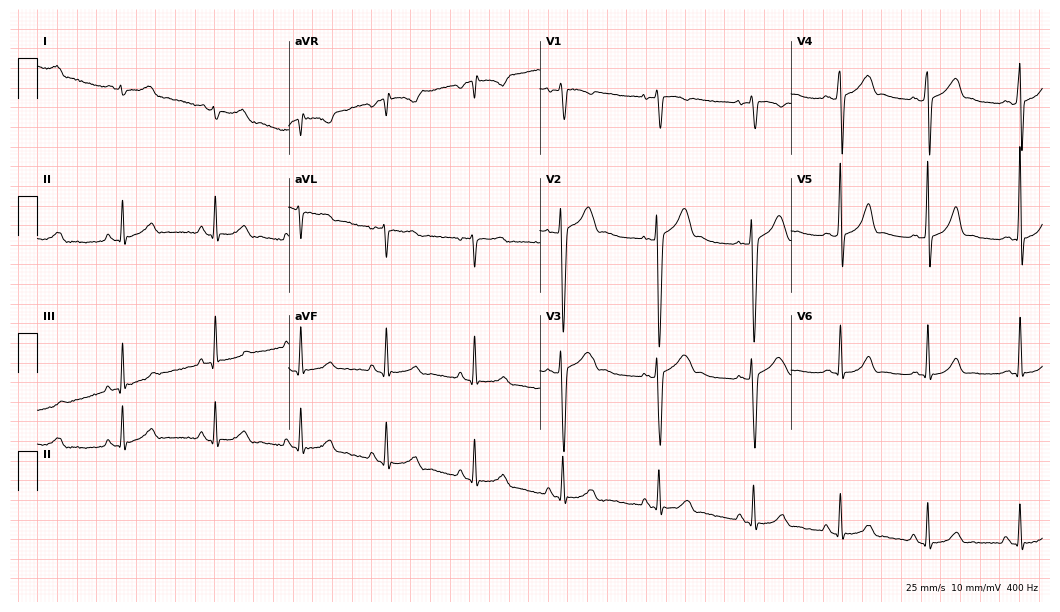
Resting 12-lead electrocardiogram. Patient: a 17-year-old male. None of these six findings is recorded: first-degree AV block, right bundle branch block, left bundle branch block, sinus bradycardia, atrial fibrillation, sinus tachycardia. Other findings, if any, are not listed.